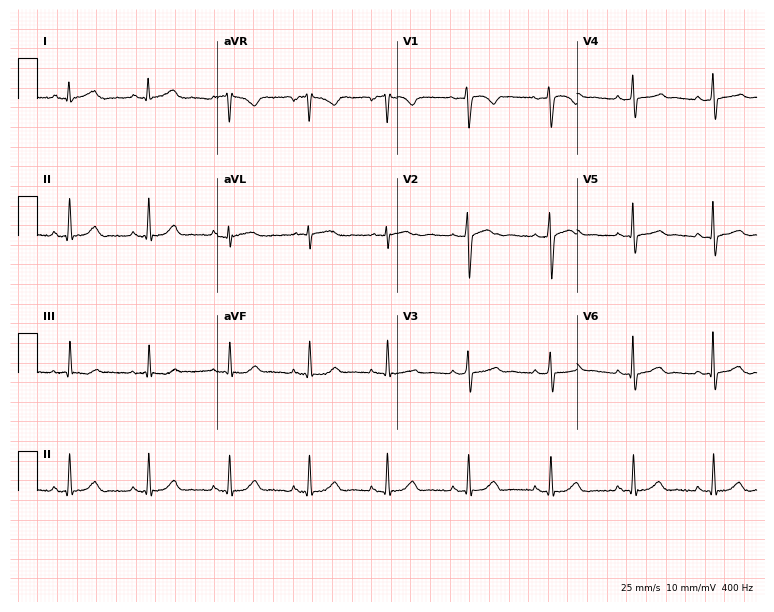
Standard 12-lead ECG recorded from a 44-year-old female. Read as a normal ECG.